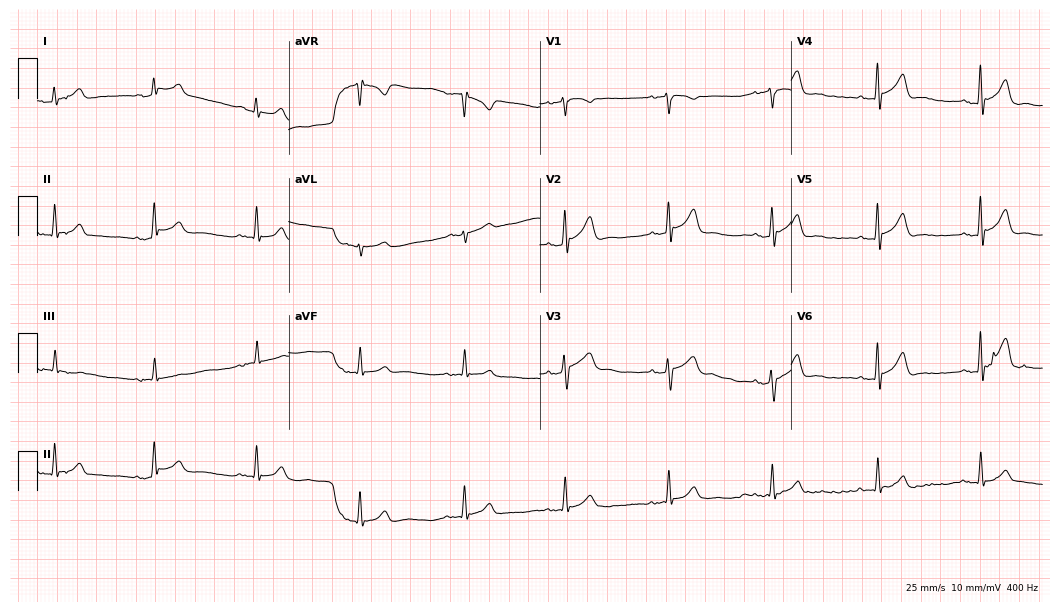
12-lead ECG from a man, 65 years old. Recorded interpretation: within normal limits.